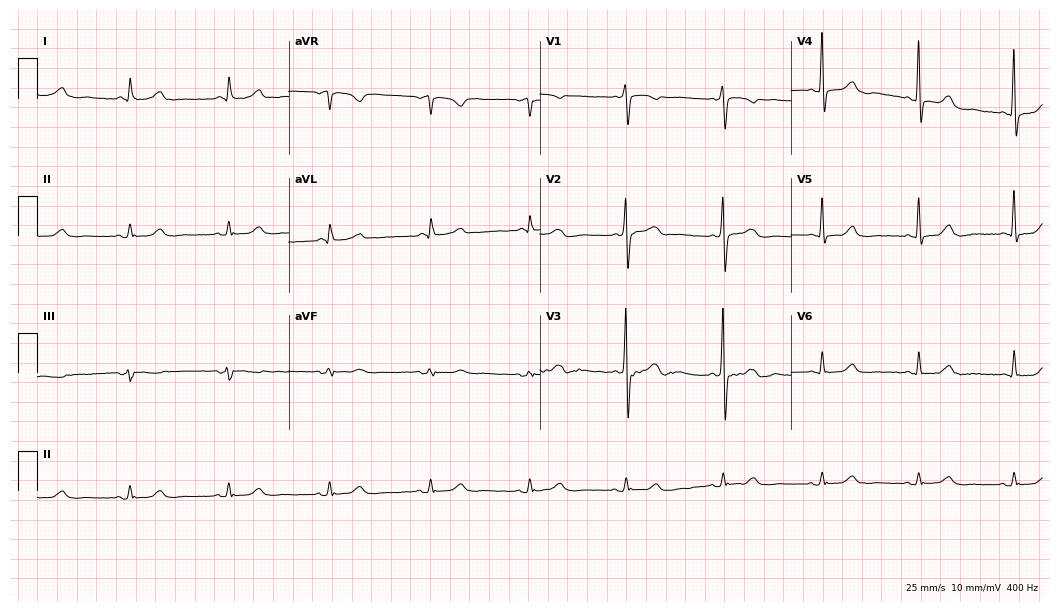
ECG — a male patient, 77 years old. Labelled as a normal ECG.